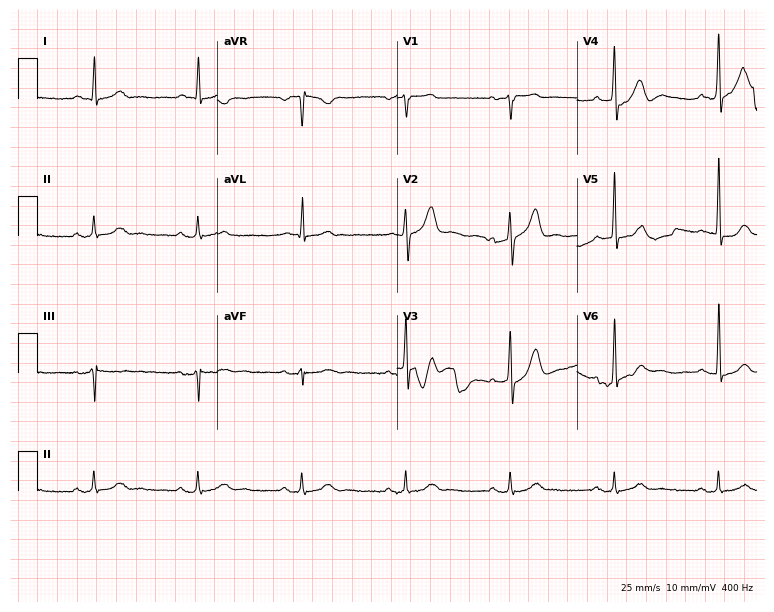
ECG — a 73-year-old male patient. Screened for six findings — first-degree AV block, right bundle branch block, left bundle branch block, sinus bradycardia, atrial fibrillation, sinus tachycardia — none is recorded.